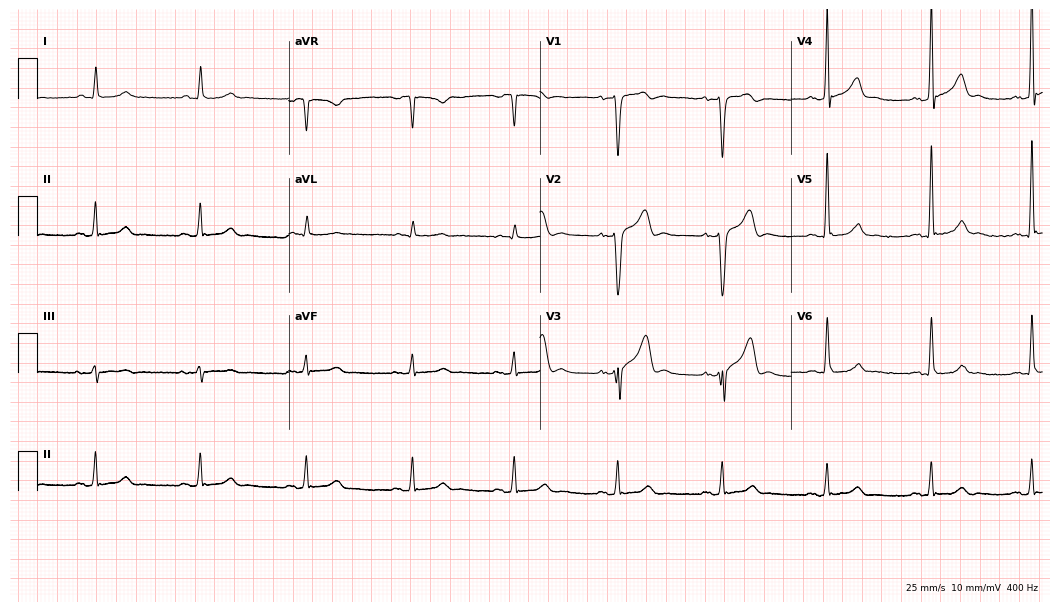
ECG (10.2-second recording at 400 Hz) — a male, 51 years old. Screened for six findings — first-degree AV block, right bundle branch block, left bundle branch block, sinus bradycardia, atrial fibrillation, sinus tachycardia — none is recorded.